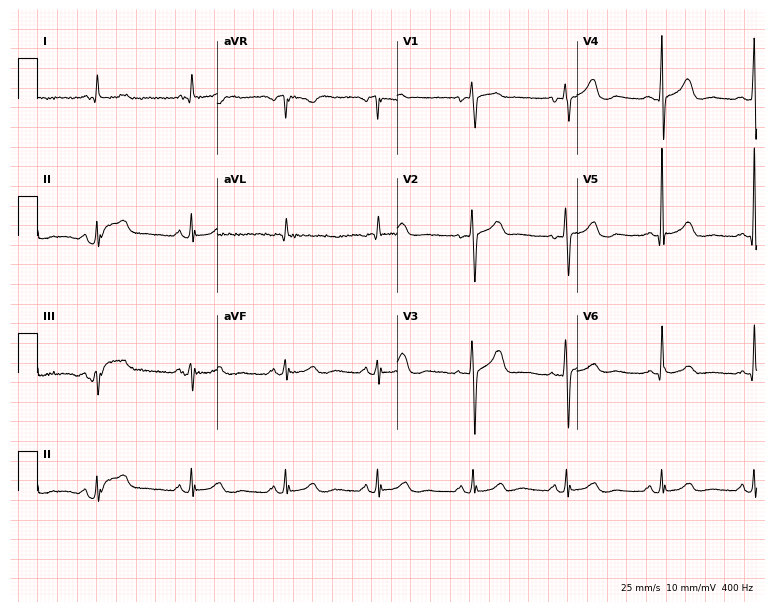
12-lead ECG from a female patient, 86 years old (7.3-second recording at 400 Hz). No first-degree AV block, right bundle branch block (RBBB), left bundle branch block (LBBB), sinus bradycardia, atrial fibrillation (AF) or sinus tachycardia recorded for this tracing. Findings outside these six are not listed.